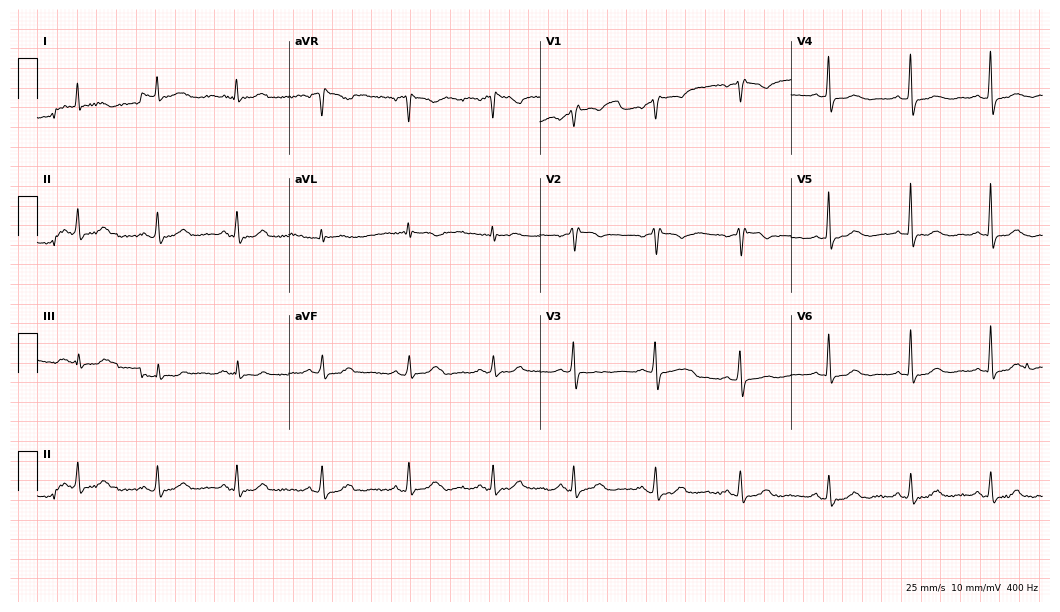
Resting 12-lead electrocardiogram (10.2-second recording at 400 Hz). Patient: a woman, 68 years old. None of these six findings is recorded: first-degree AV block, right bundle branch block, left bundle branch block, sinus bradycardia, atrial fibrillation, sinus tachycardia.